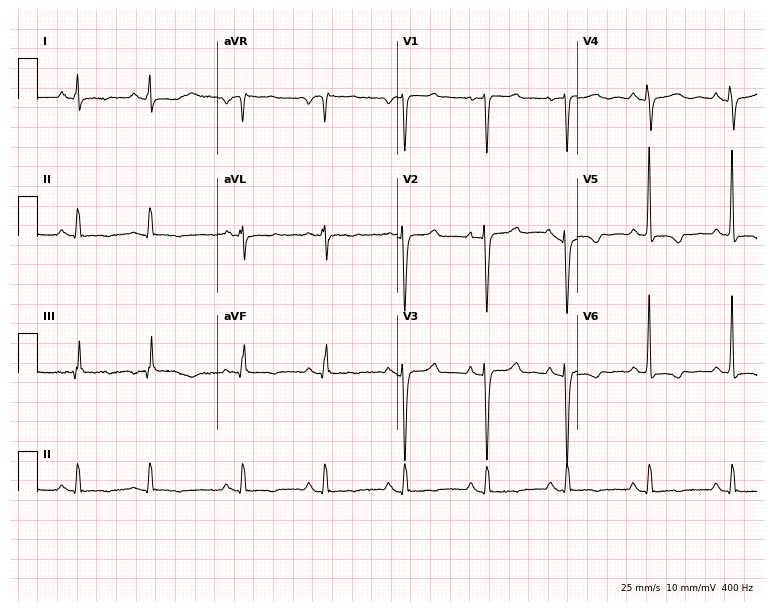
Electrocardiogram (7.3-second recording at 400 Hz), a female patient, 54 years old. Of the six screened findings (first-degree AV block, right bundle branch block, left bundle branch block, sinus bradycardia, atrial fibrillation, sinus tachycardia), none is recorded.